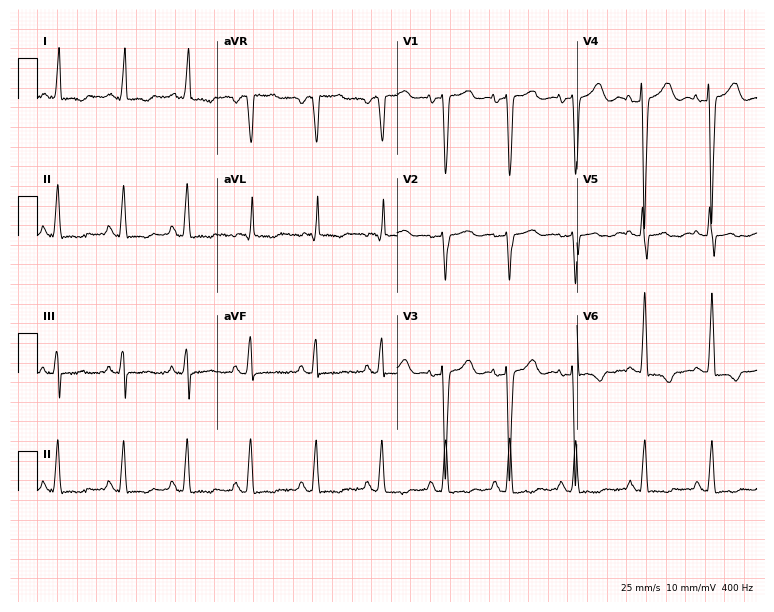
12-lead ECG from a 59-year-old woman. No first-degree AV block, right bundle branch block, left bundle branch block, sinus bradycardia, atrial fibrillation or sinus tachycardia recorded for this tracing.